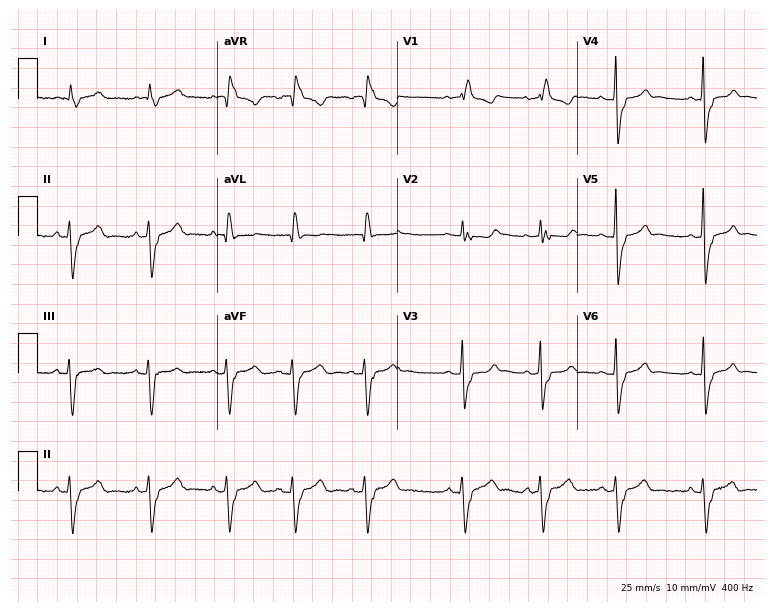
Resting 12-lead electrocardiogram. Patient: a female, 66 years old. The tracing shows right bundle branch block.